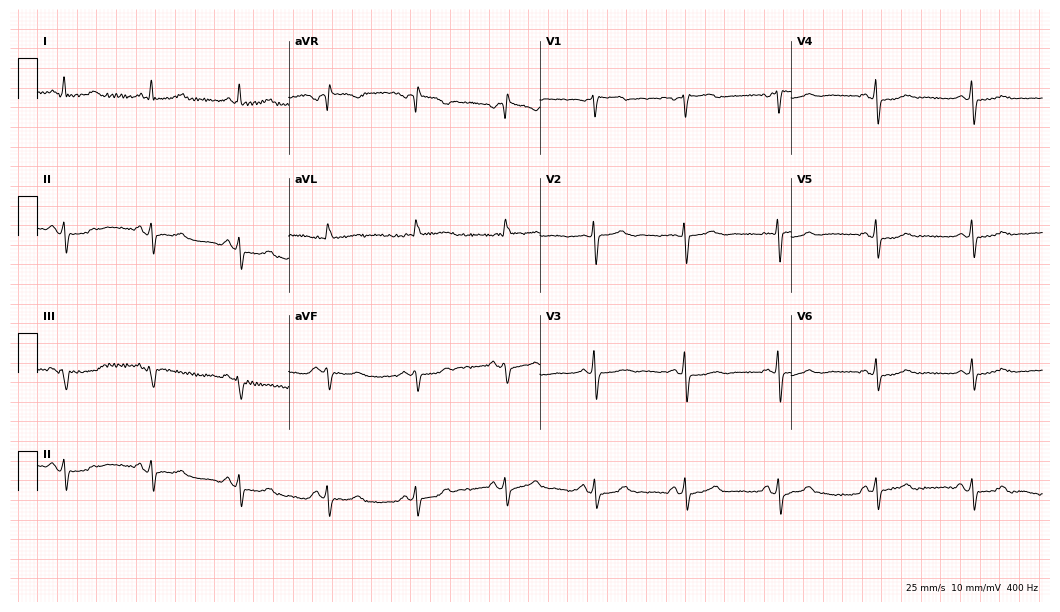
Standard 12-lead ECG recorded from a 64-year-old female patient. None of these six findings is recorded: first-degree AV block, right bundle branch block, left bundle branch block, sinus bradycardia, atrial fibrillation, sinus tachycardia.